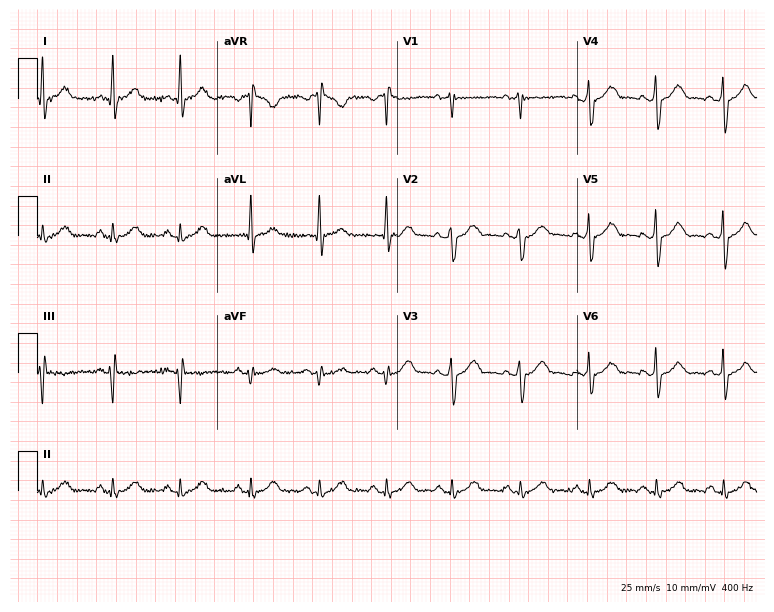
Resting 12-lead electrocardiogram. Patient: a 36-year-old man. Read as a normal ECG.